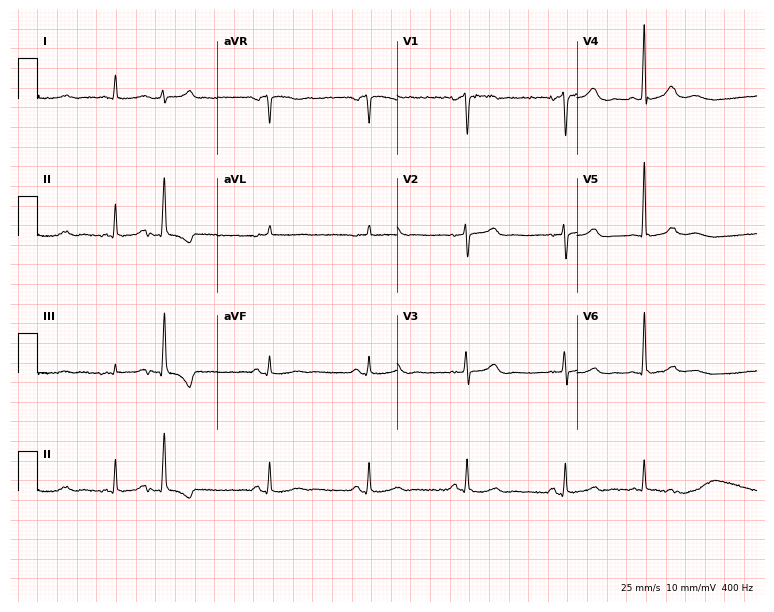
Electrocardiogram (7.3-second recording at 400 Hz), a man, 81 years old. Of the six screened findings (first-degree AV block, right bundle branch block (RBBB), left bundle branch block (LBBB), sinus bradycardia, atrial fibrillation (AF), sinus tachycardia), none is recorded.